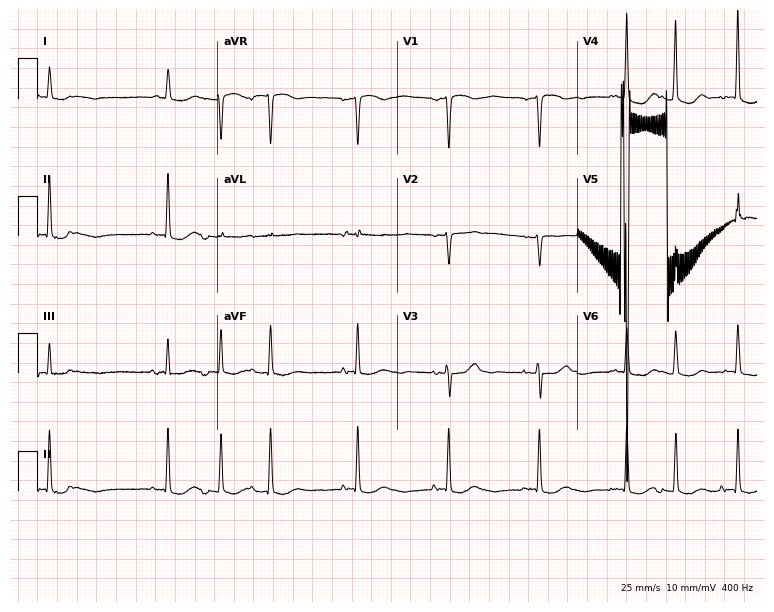
Electrocardiogram (7.3-second recording at 400 Hz), an 85-year-old woman. Of the six screened findings (first-degree AV block, right bundle branch block, left bundle branch block, sinus bradycardia, atrial fibrillation, sinus tachycardia), none is recorded.